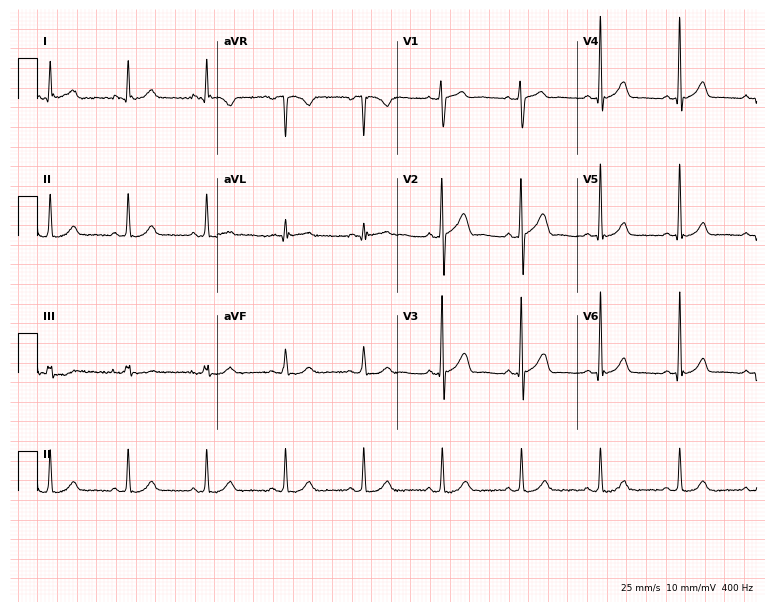
Electrocardiogram (7.3-second recording at 400 Hz), a 51-year-old male. Overall reading on record: normal ECG.